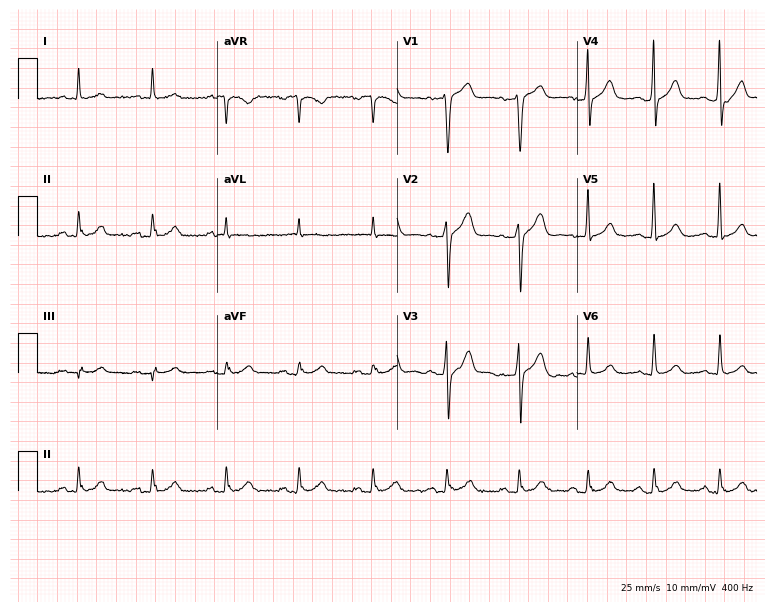
Resting 12-lead electrocardiogram (7.3-second recording at 400 Hz). Patient: a male, 56 years old. Read as a normal ECG.